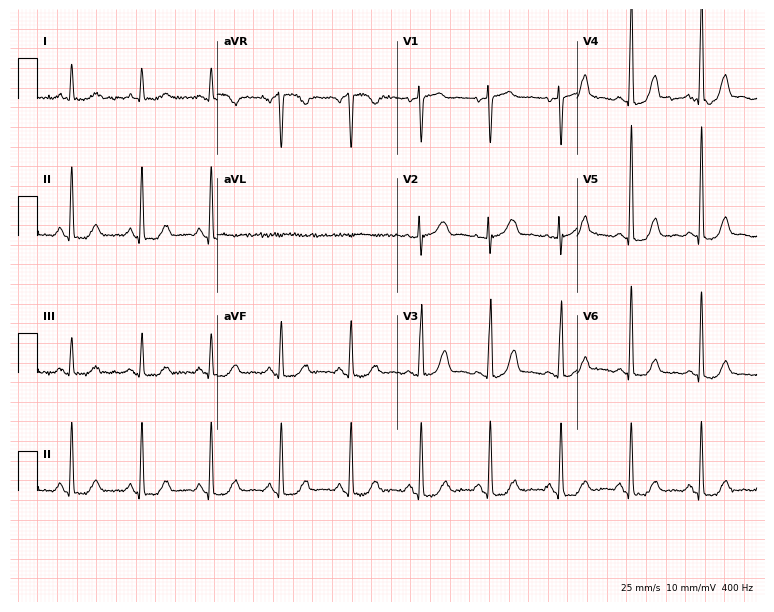
Resting 12-lead electrocardiogram. Patient: an 80-year-old female. None of these six findings is recorded: first-degree AV block, right bundle branch block (RBBB), left bundle branch block (LBBB), sinus bradycardia, atrial fibrillation (AF), sinus tachycardia.